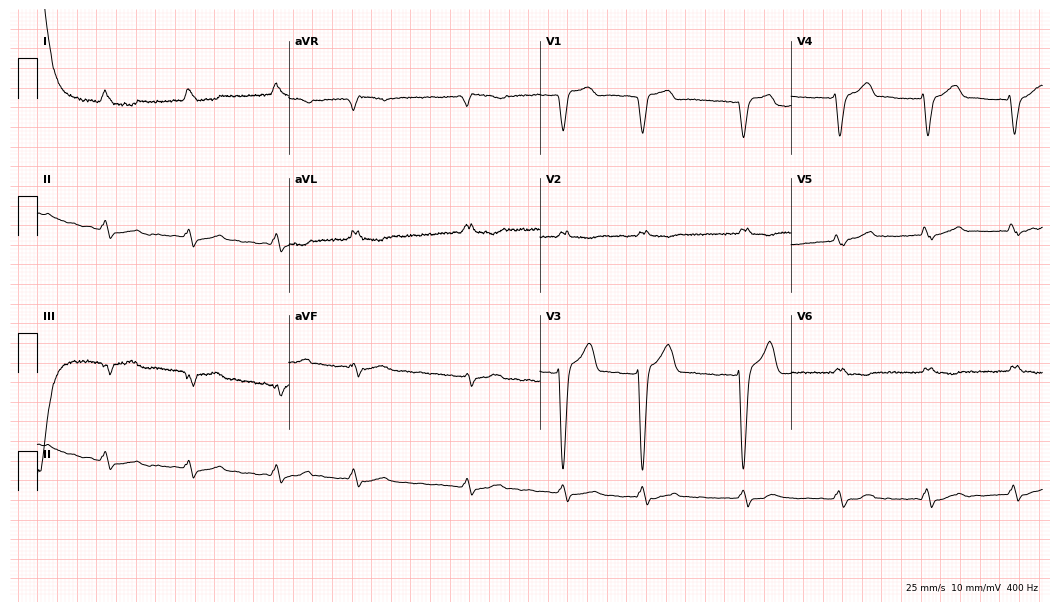
12-lead ECG (10.2-second recording at 400 Hz) from a male patient, 72 years old. Findings include left bundle branch block, atrial fibrillation.